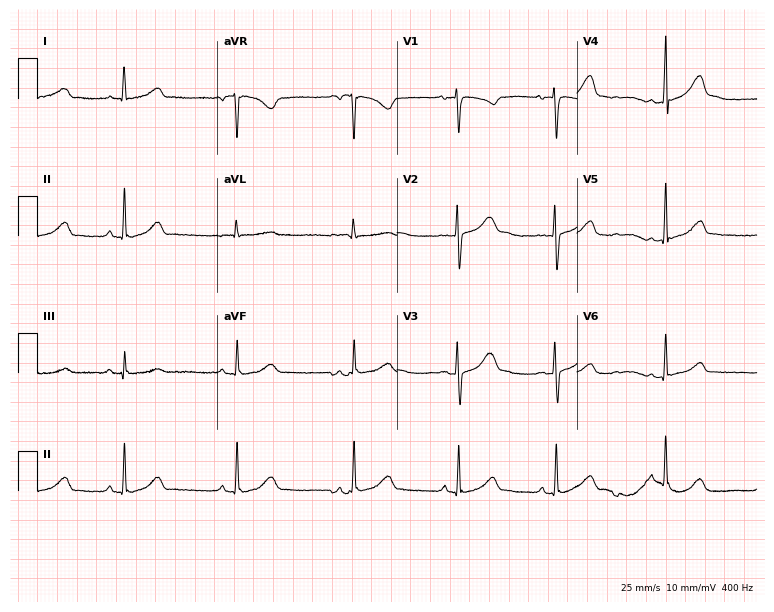
12-lead ECG from a woman, 32 years old (7.3-second recording at 400 Hz). Recorded interpretation: within normal limits.